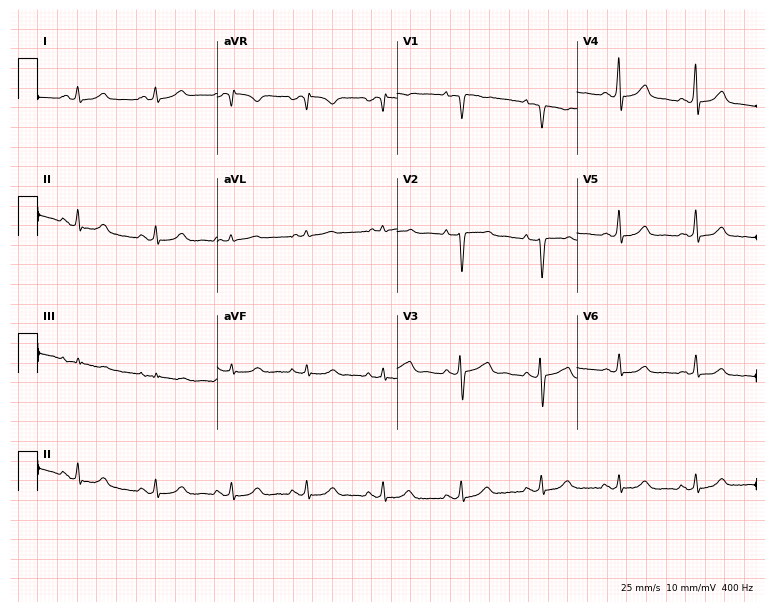
12-lead ECG from a 33-year-old woman. No first-degree AV block, right bundle branch block, left bundle branch block, sinus bradycardia, atrial fibrillation or sinus tachycardia recorded for this tracing.